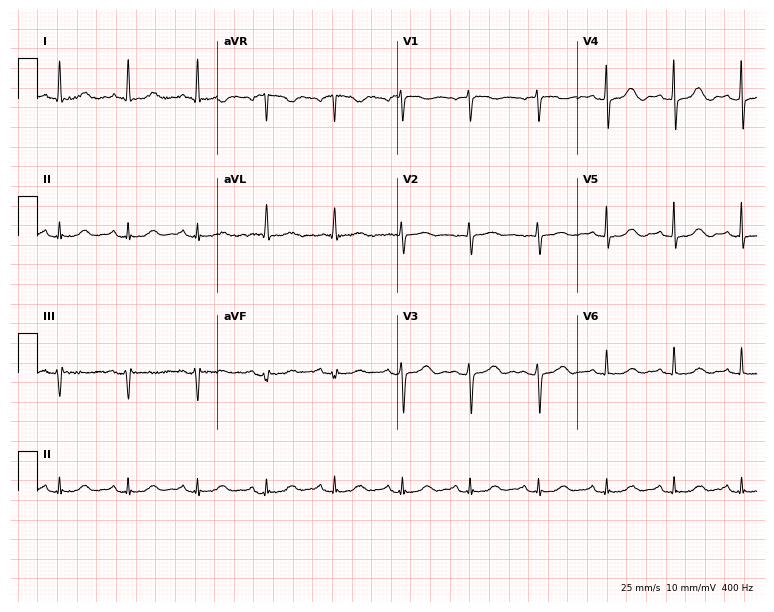
12-lead ECG (7.3-second recording at 400 Hz) from a woman, 77 years old. Labelled as a normal ECG.